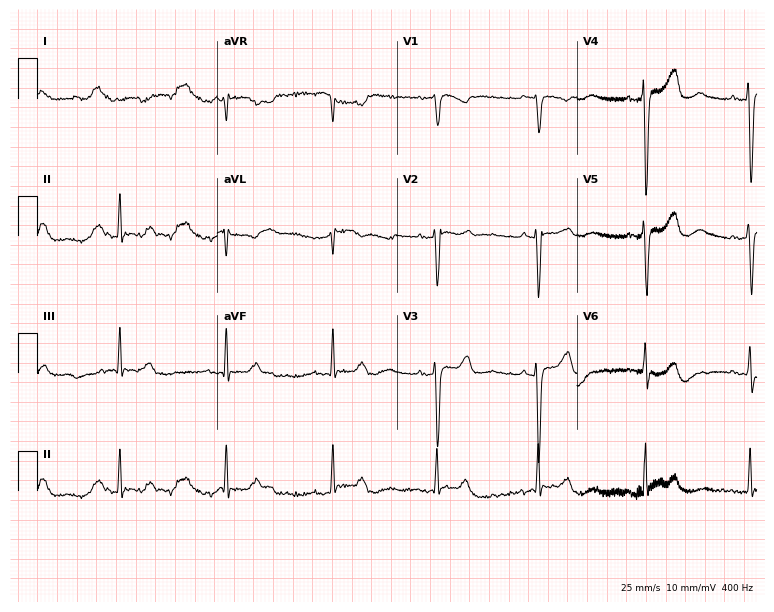
Electrocardiogram, a male, 75 years old. Of the six screened findings (first-degree AV block, right bundle branch block (RBBB), left bundle branch block (LBBB), sinus bradycardia, atrial fibrillation (AF), sinus tachycardia), none is recorded. Only these six findings were labelled.